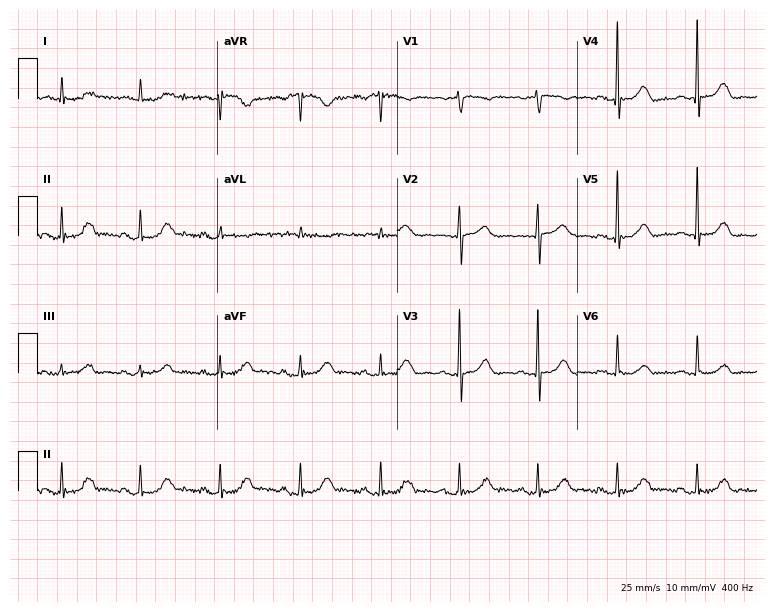
12-lead ECG from a 65-year-old female patient. Recorded interpretation: within normal limits.